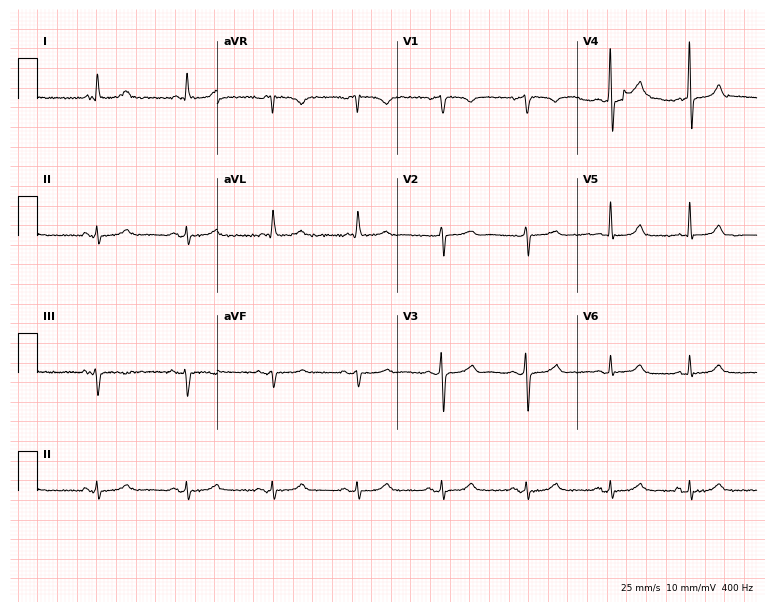
ECG (7.3-second recording at 400 Hz) — a man, 82 years old. Screened for six findings — first-degree AV block, right bundle branch block, left bundle branch block, sinus bradycardia, atrial fibrillation, sinus tachycardia — none is recorded. Findings outside these six are not listed.